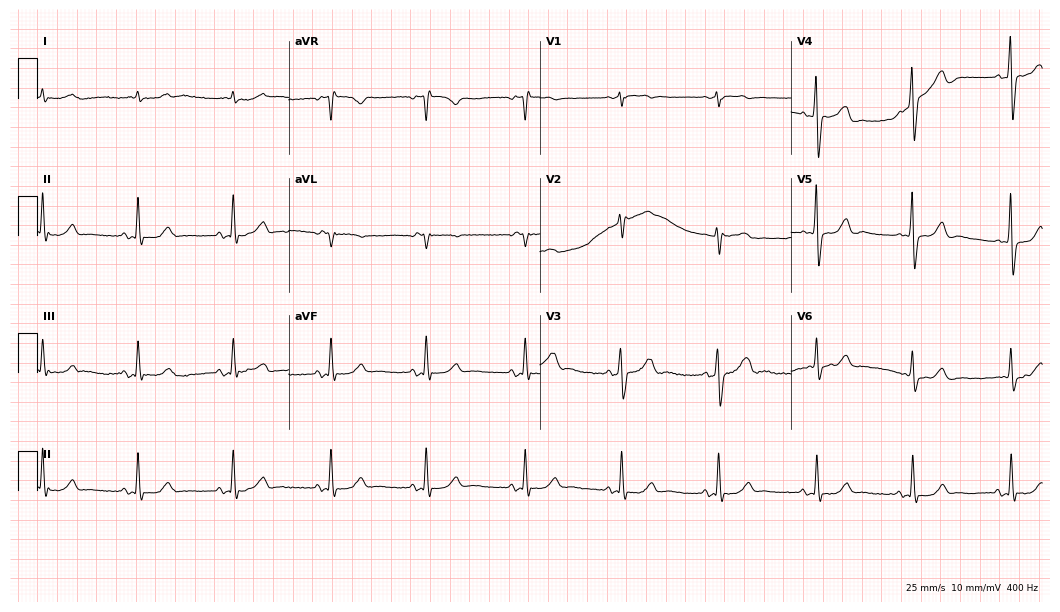
ECG (10.2-second recording at 400 Hz) — a woman, 72 years old. Labelled as a normal ECG.